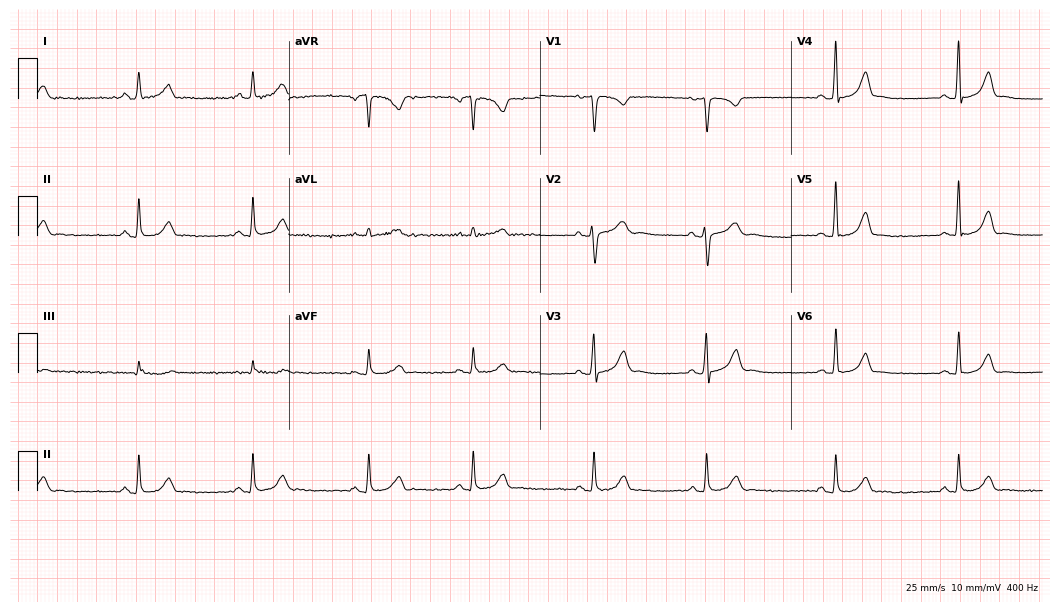
12-lead ECG from a 32-year-old female (10.2-second recording at 400 Hz). Recorded interpretation: within normal limits.